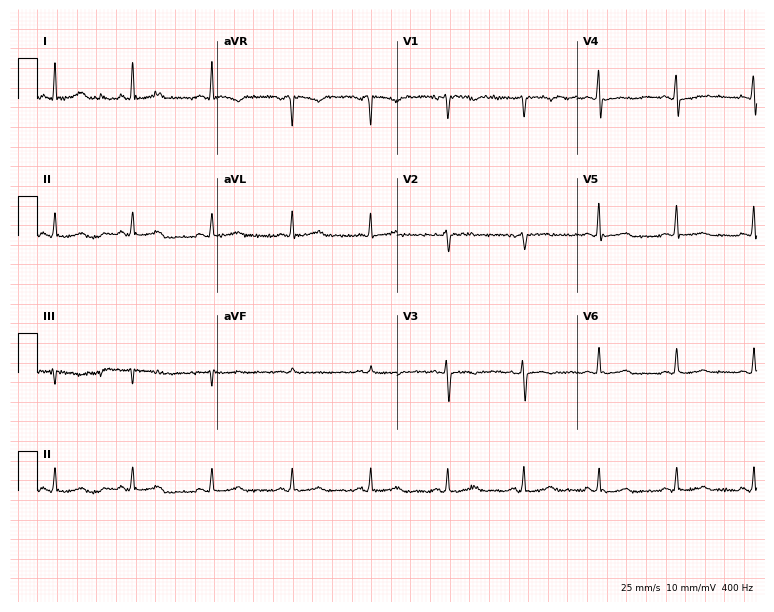
12-lead ECG from a 47-year-old female patient (7.3-second recording at 400 Hz). No first-degree AV block, right bundle branch block (RBBB), left bundle branch block (LBBB), sinus bradycardia, atrial fibrillation (AF) or sinus tachycardia recorded for this tracing.